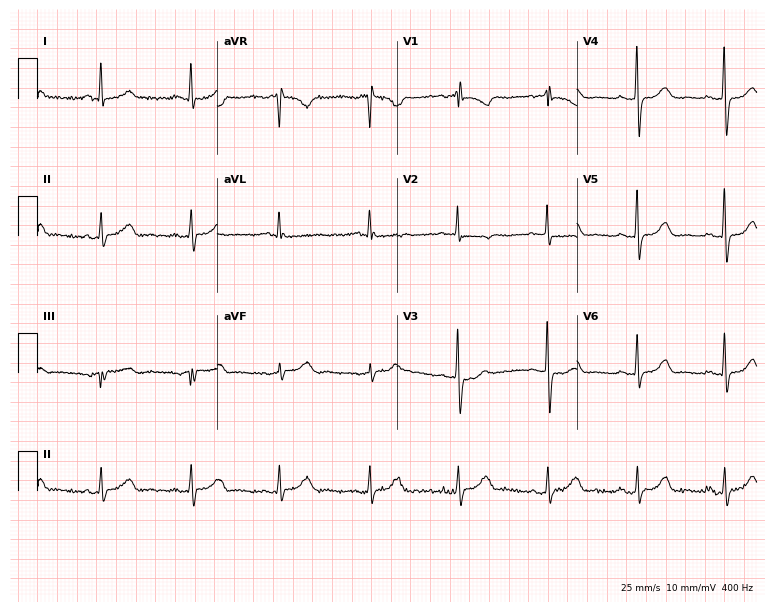
12-lead ECG (7.3-second recording at 400 Hz) from a female patient, 70 years old. Screened for six findings — first-degree AV block, right bundle branch block (RBBB), left bundle branch block (LBBB), sinus bradycardia, atrial fibrillation (AF), sinus tachycardia — none is recorded.